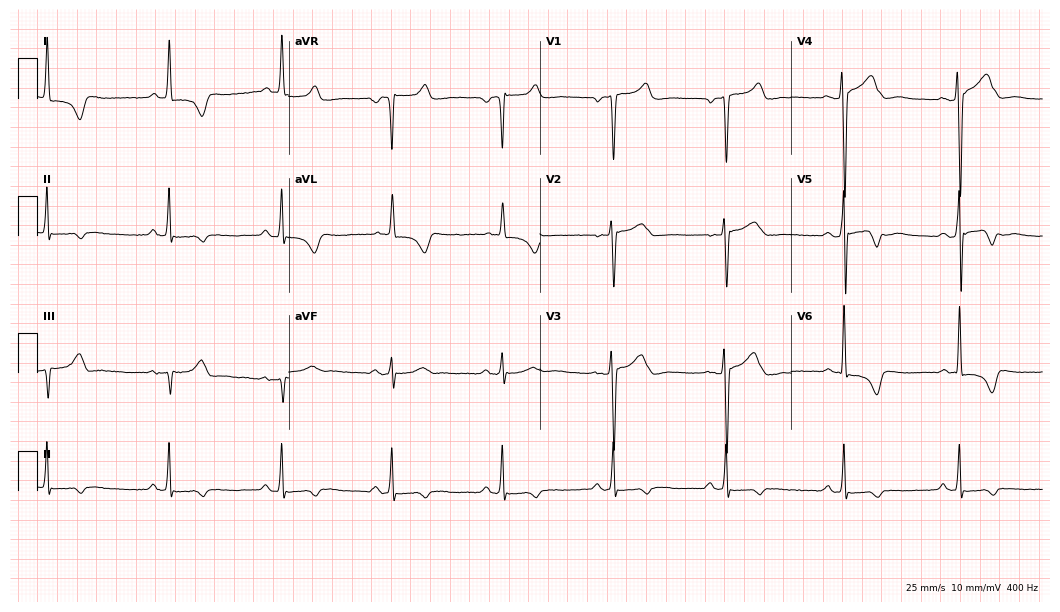
12-lead ECG from a man, 55 years old. No first-degree AV block, right bundle branch block (RBBB), left bundle branch block (LBBB), sinus bradycardia, atrial fibrillation (AF) or sinus tachycardia recorded for this tracing. Findings outside these six are not listed.